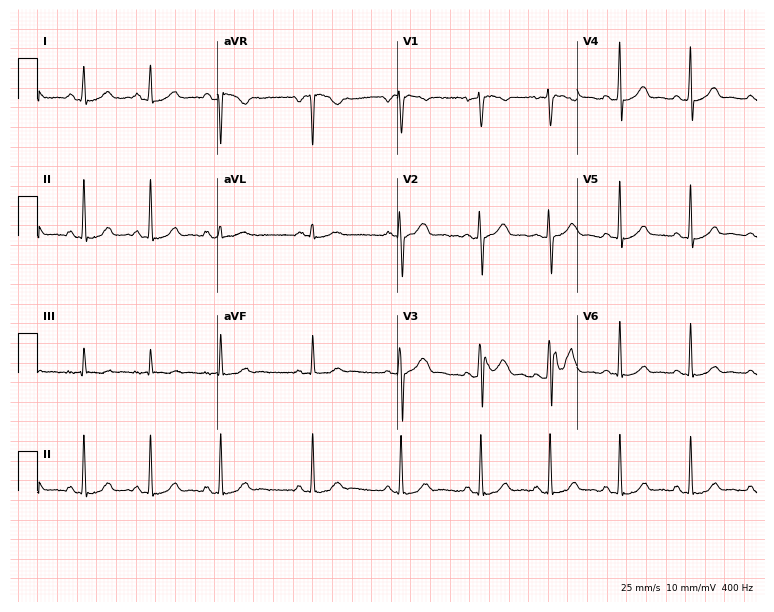
12-lead ECG (7.3-second recording at 400 Hz) from a female, 17 years old. Labelled as a normal ECG.